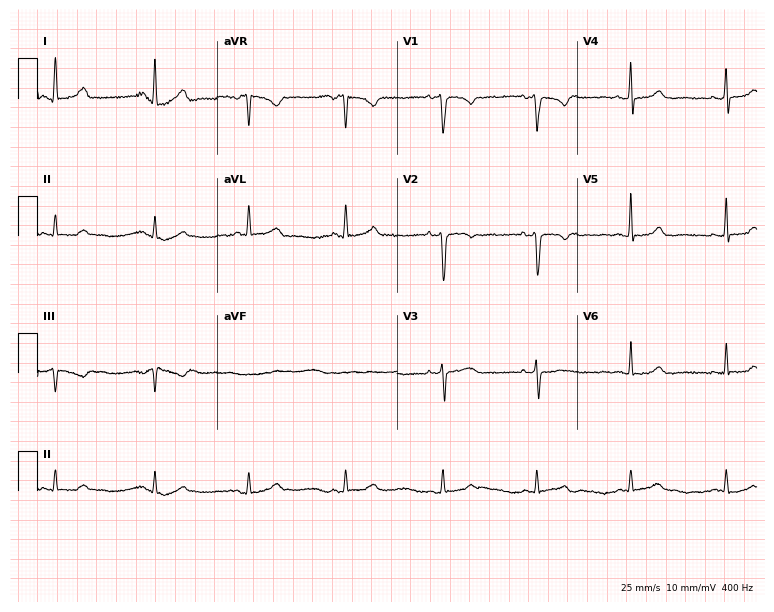
12-lead ECG from a male, 48 years old. Recorded interpretation: within normal limits.